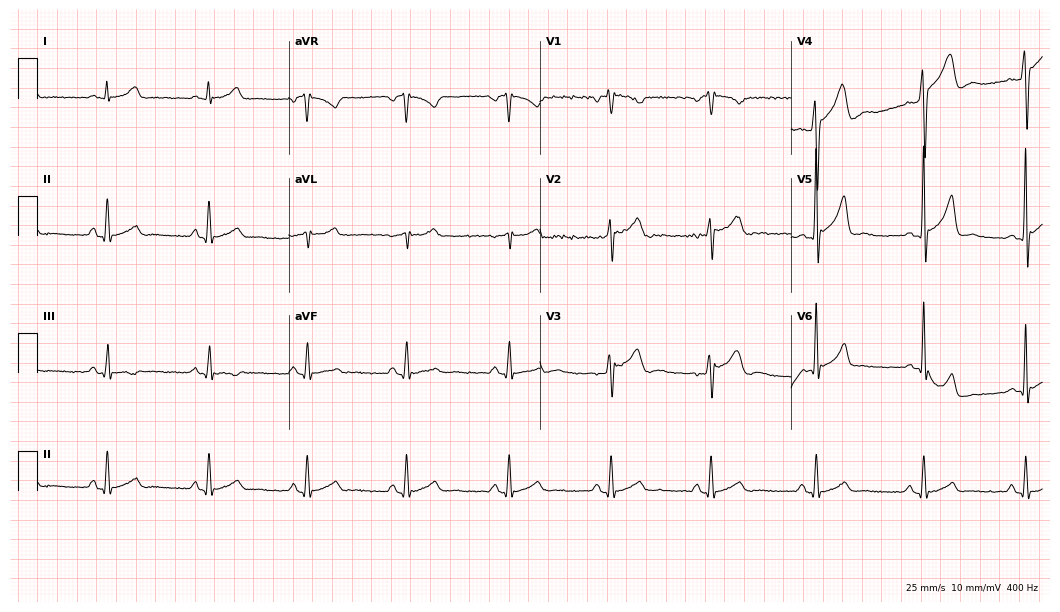
12-lead ECG (10.2-second recording at 400 Hz) from a male patient, 34 years old. Labelled as a normal ECG.